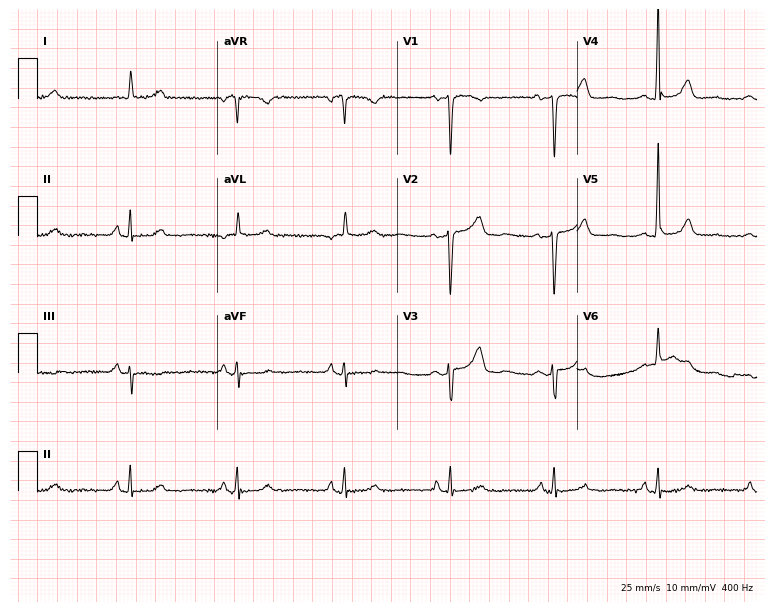
Resting 12-lead electrocardiogram (7.3-second recording at 400 Hz). Patient: a 79-year-old woman. Read as a normal ECG.